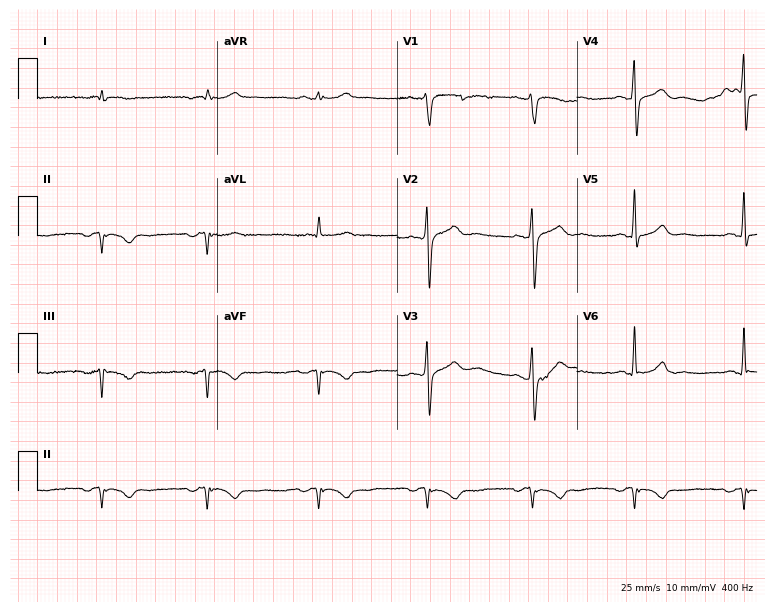
Standard 12-lead ECG recorded from a male patient, 50 years old. None of these six findings is recorded: first-degree AV block, right bundle branch block, left bundle branch block, sinus bradycardia, atrial fibrillation, sinus tachycardia.